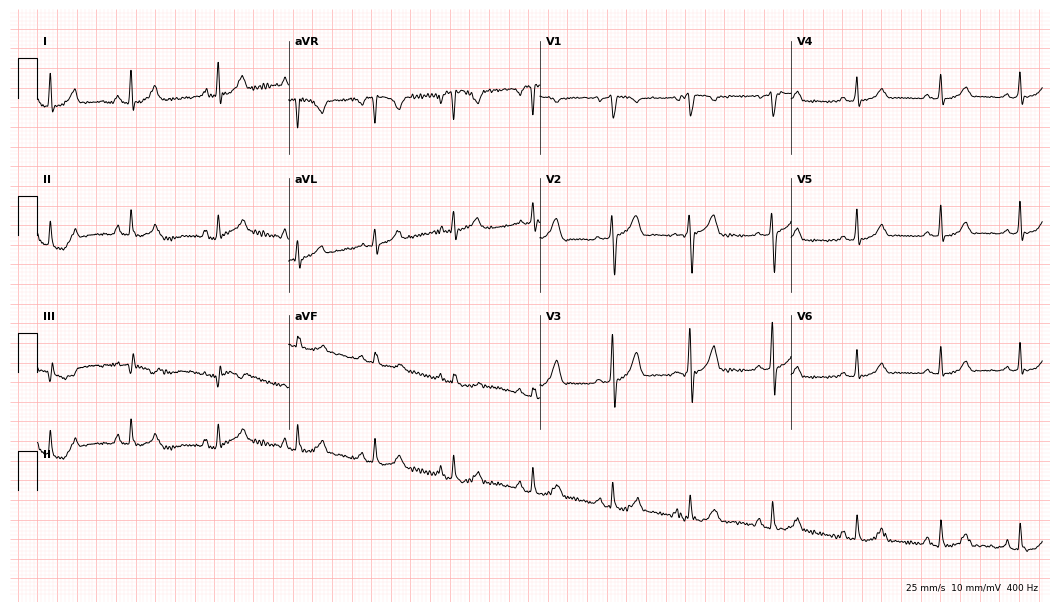
Resting 12-lead electrocardiogram (10.2-second recording at 400 Hz). Patient: a woman, 32 years old. Read as a normal ECG.